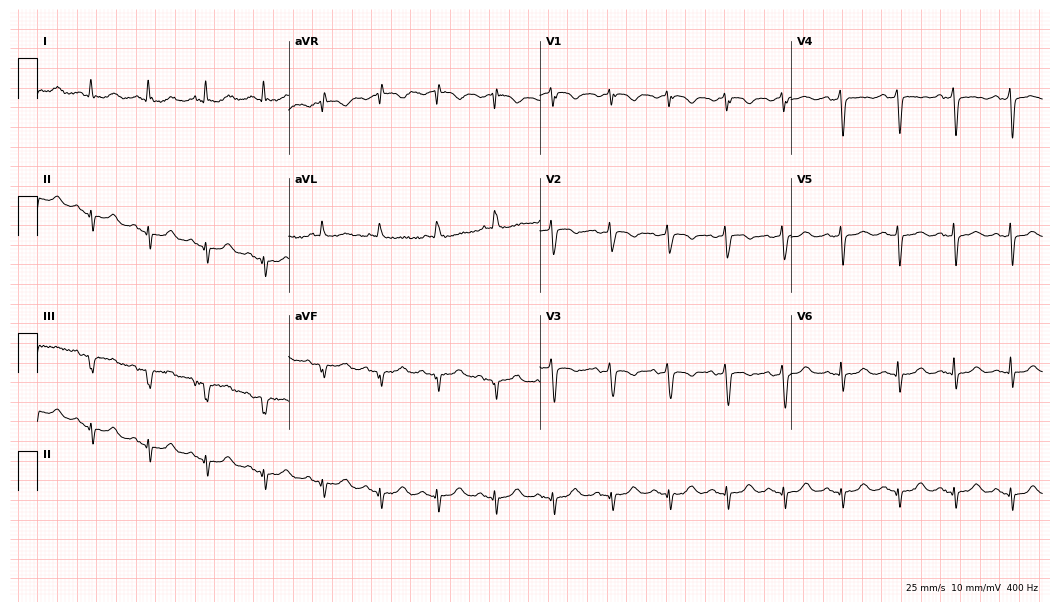
Resting 12-lead electrocardiogram (10.2-second recording at 400 Hz). Patient: a 69-year-old woman. The tracing shows sinus tachycardia (a sinus rate of 100 beats per minute or more).